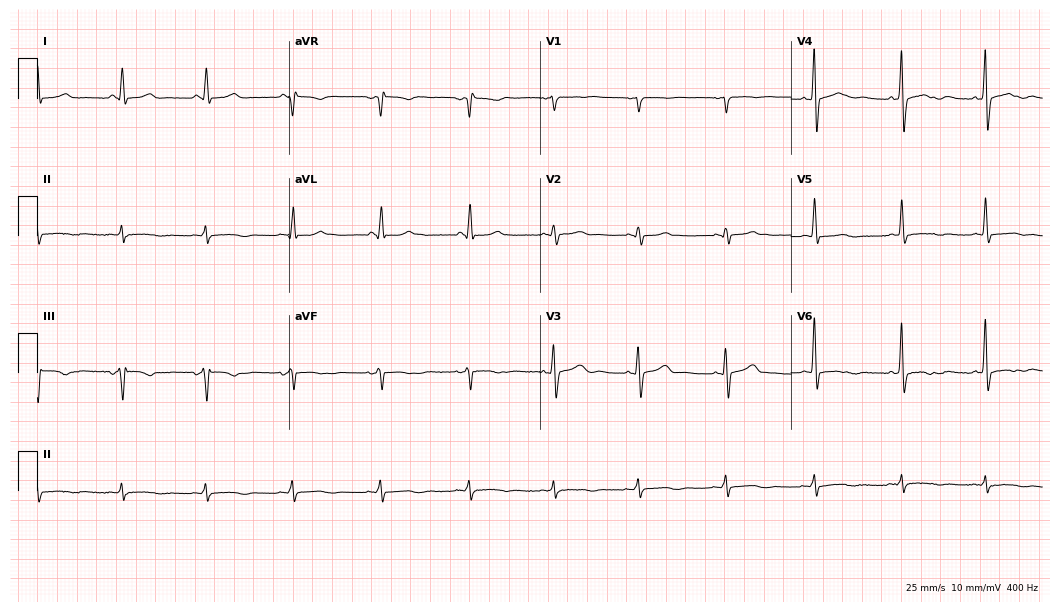
Standard 12-lead ECG recorded from a male, 61 years old. None of these six findings is recorded: first-degree AV block, right bundle branch block, left bundle branch block, sinus bradycardia, atrial fibrillation, sinus tachycardia. Other findings, if any, are not listed.